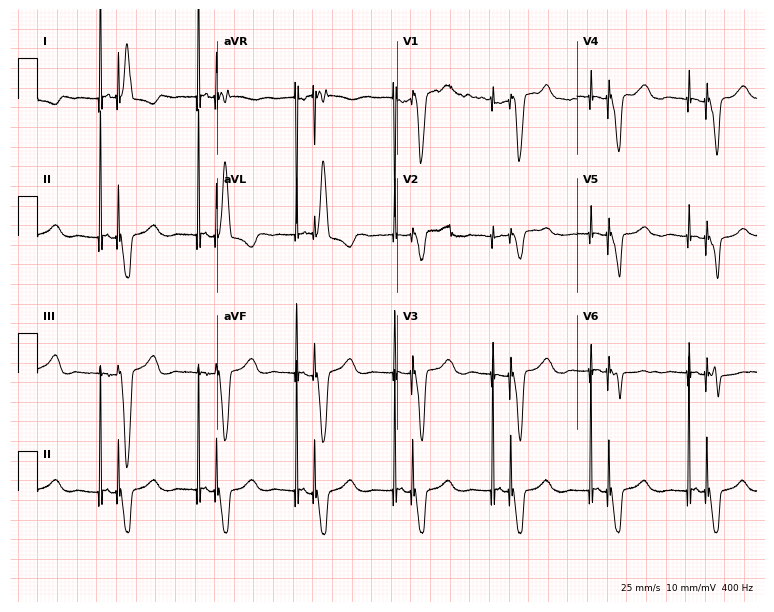
Electrocardiogram (7.3-second recording at 400 Hz), a woman, 72 years old. Of the six screened findings (first-degree AV block, right bundle branch block (RBBB), left bundle branch block (LBBB), sinus bradycardia, atrial fibrillation (AF), sinus tachycardia), none is recorded.